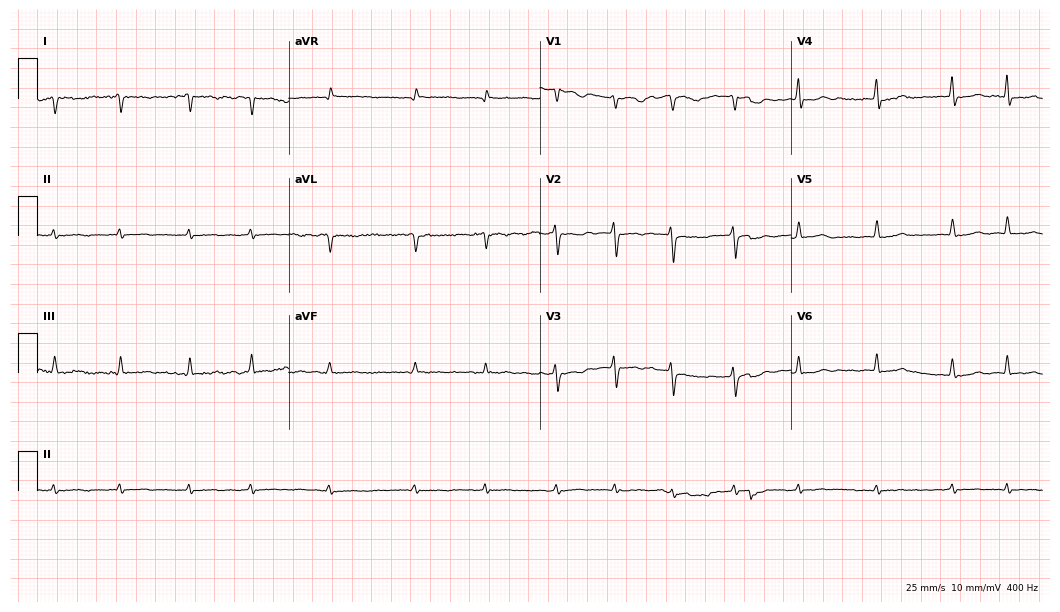
Electrocardiogram (10.2-second recording at 400 Hz), a 70-year-old woman. Of the six screened findings (first-degree AV block, right bundle branch block (RBBB), left bundle branch block (LBBB), sinus bradycardia, atrial fibrillation (AF), sinus tachycardia), none is recorded. Findings outside these six are not listed.